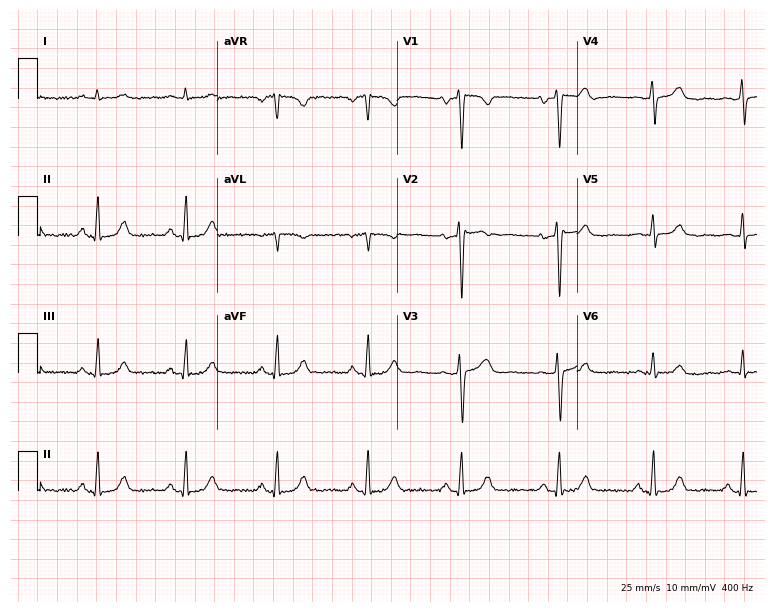
ECG (7.3-second recording at 400 Hz) — a male patient, 67 years old. Labelled as a normal ECG.